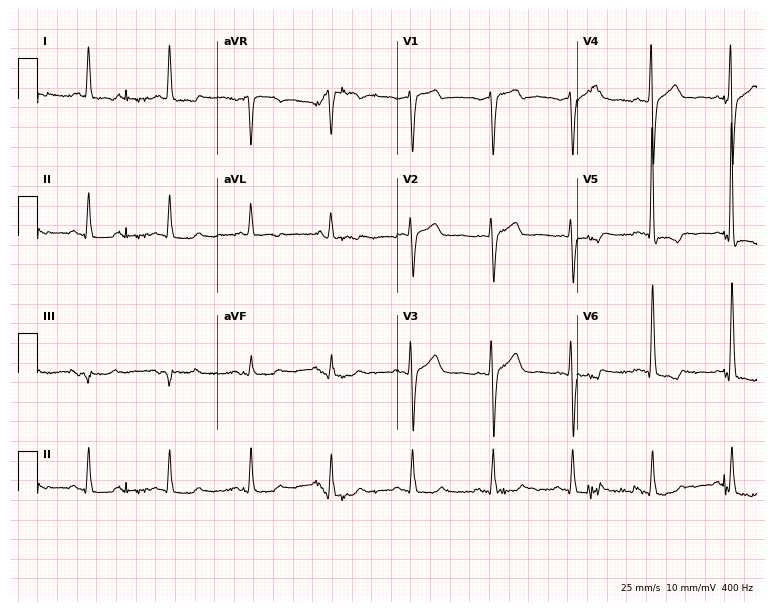
Resting 12-lead electrocardiogram. Patient: a male, 75 years old. None of these six findings is recorded: first-degree AV block, right bundle branch block, left bundle branch block, sinus bradycardia, atrial fibrillation, sinus tachycardia.